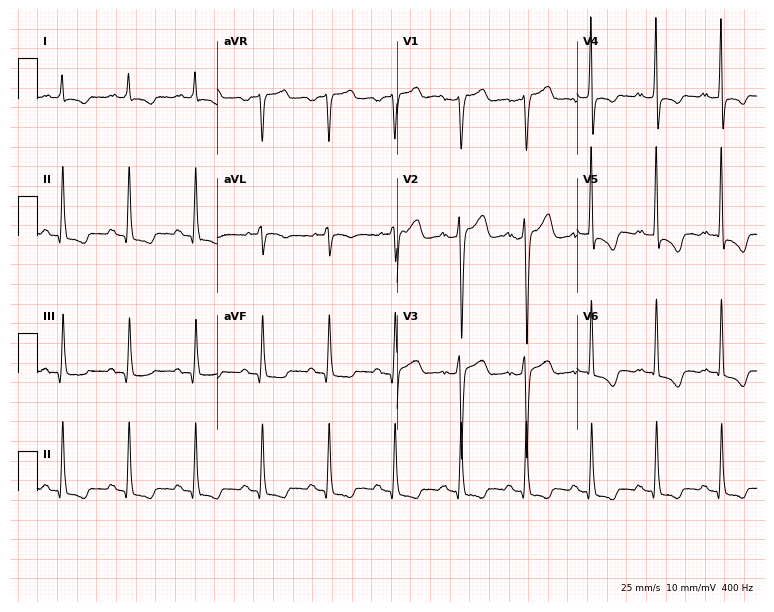
12-lead ECG from a male patient, 67 years old. Screened for six findings — first-degree AV block, right bundle branch block (RBBB), left bundle branch block (LBBB), sinus bradycardia, atrial fibrillation (AF), sinus tachycardia — none is recorded. Other findings, if any, are not listed.